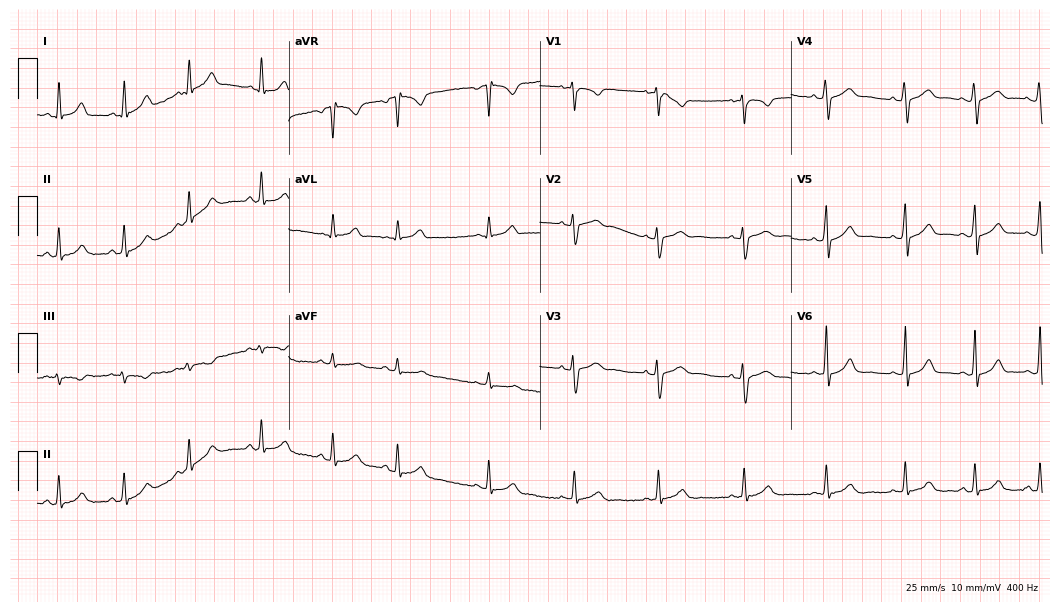
12-lead ECG from a female, 25 years old (10.2-second recording at 400 Hz). Recorded interpretation: within normal limits.